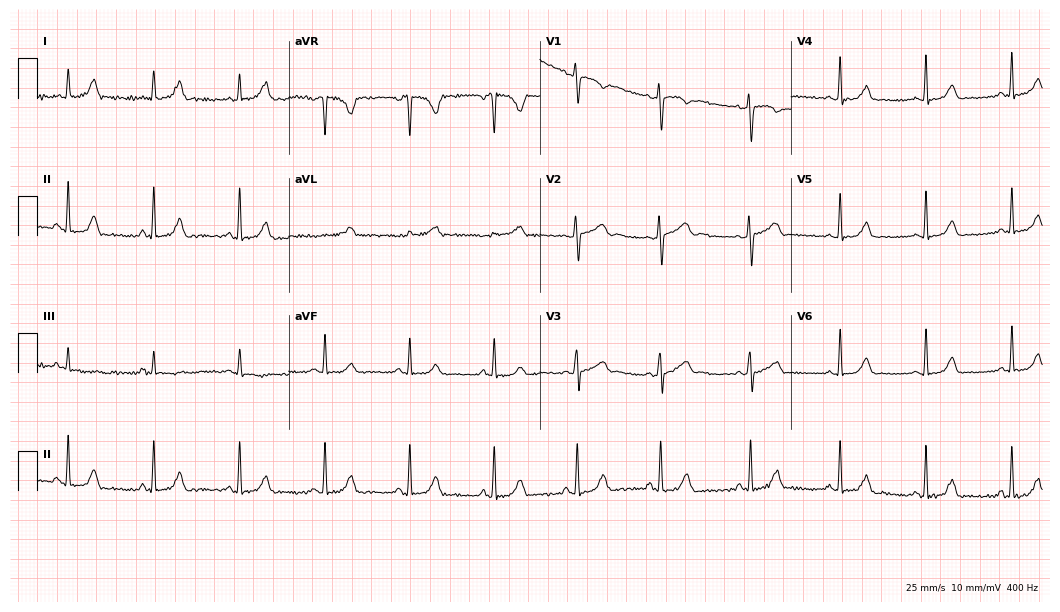
Resting 12-lead electrocardiogram. Patient: a 41-year-old woman. None of these six findings is recorded: first-degree AV block, right bundle branch block, left bundle branch block, sinus bradycardia, atrial fibrillation, sinus tachycardia. Other findings, if any, are not listed.